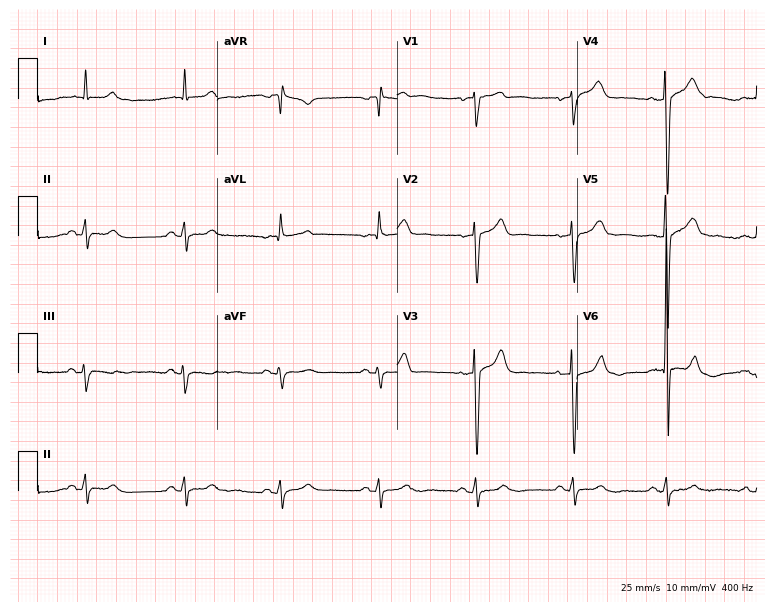
Electrocardiogram (7.3-second recording at 400 Hz), a 77-year-old man. Of the six screened findings (first-degree AV block, right bundle branch block, left bundle branch block, sinus bradycardia, atrial fibrillation, sinus tachycardia), none is recorded. Only these six findings were labelled.